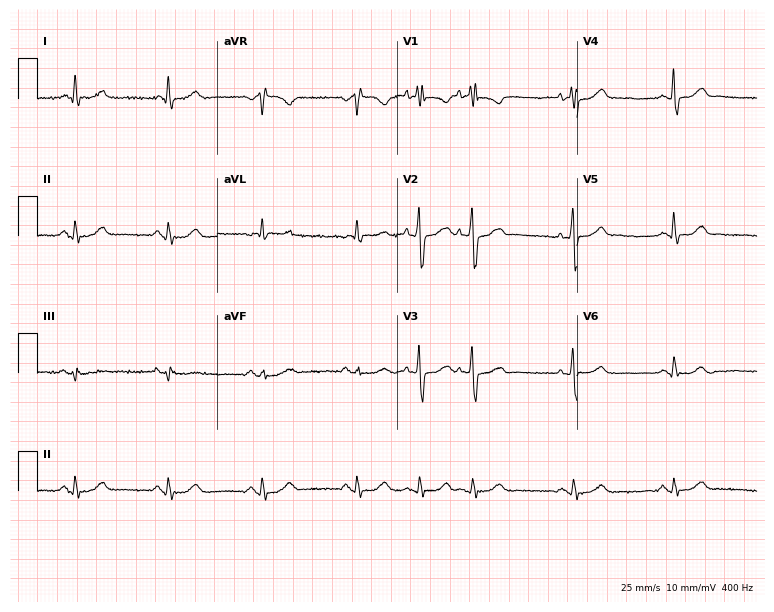
Electrocardiogram (7.3-second recording at 400 Hz), a 75-year-old female. Of the six screened findings (first-degree AV block, right bundle branch block, left bundle branch block, sinus bradycardia, atrial fibrillation, sinus tachycardia), none is recorded. Other findings, if any, are not listed.